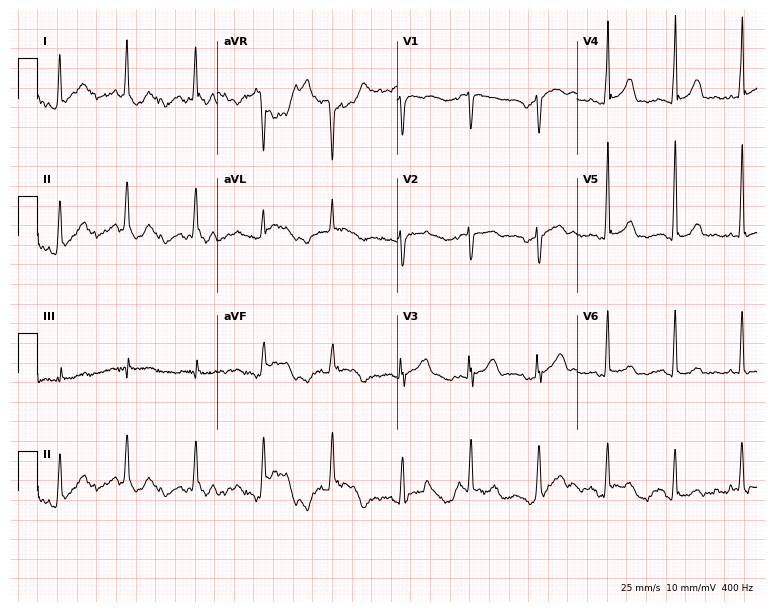
Standard 12-lead ECG recorded from a female patient, 38 years old (7.3-second recording at 400 Hz). None of these six findings is recorded: first-degree AV block, right bundle branch block, left bundle branch block, sinus bradycardia, atrial fibrillation, sinus tachycardia. Only these six findings were labelled.